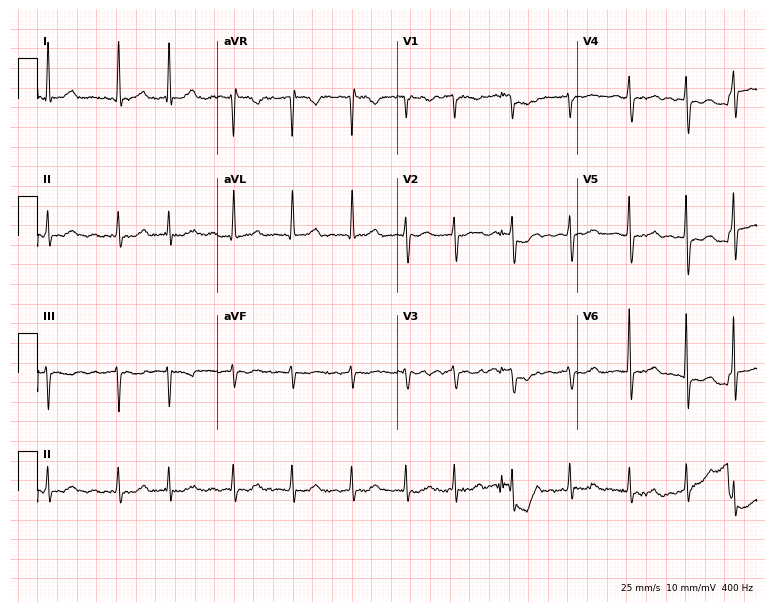
12-lead ECG from an 85-year-old female. Findings include atrial fibrillation.